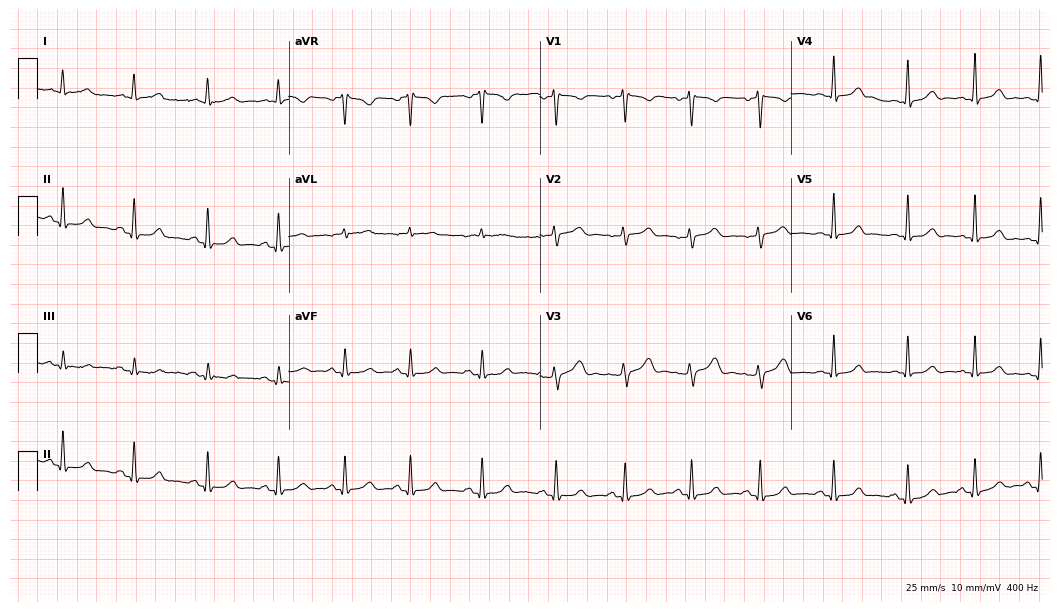
12-lead ECG from a 35-year-old female patient. Labelled as a normal ECG.